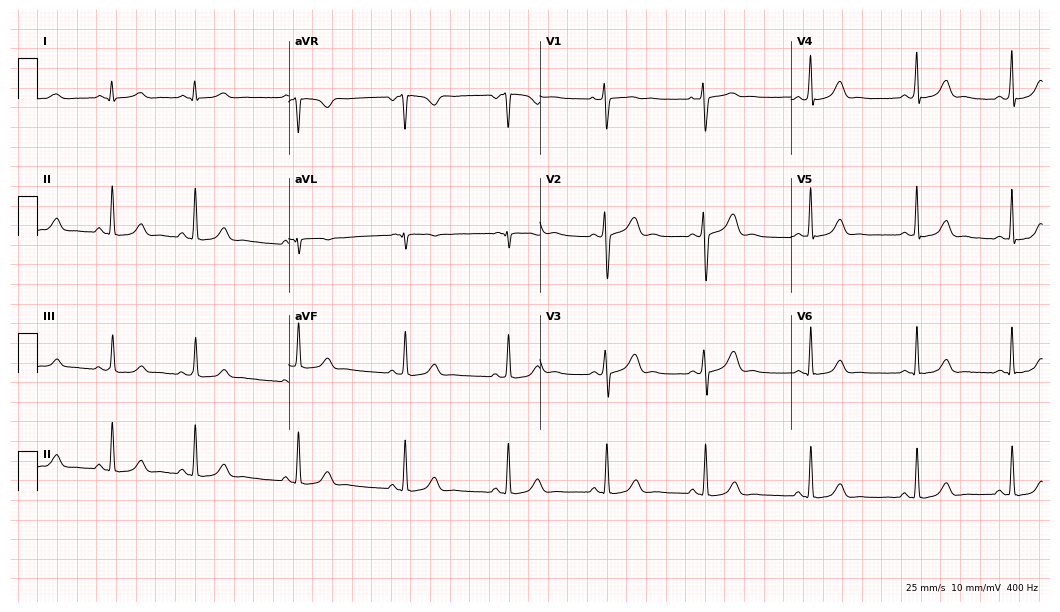
12-lead ECG from a woman, 22 years old. Recorded interpretation: within normal limits.